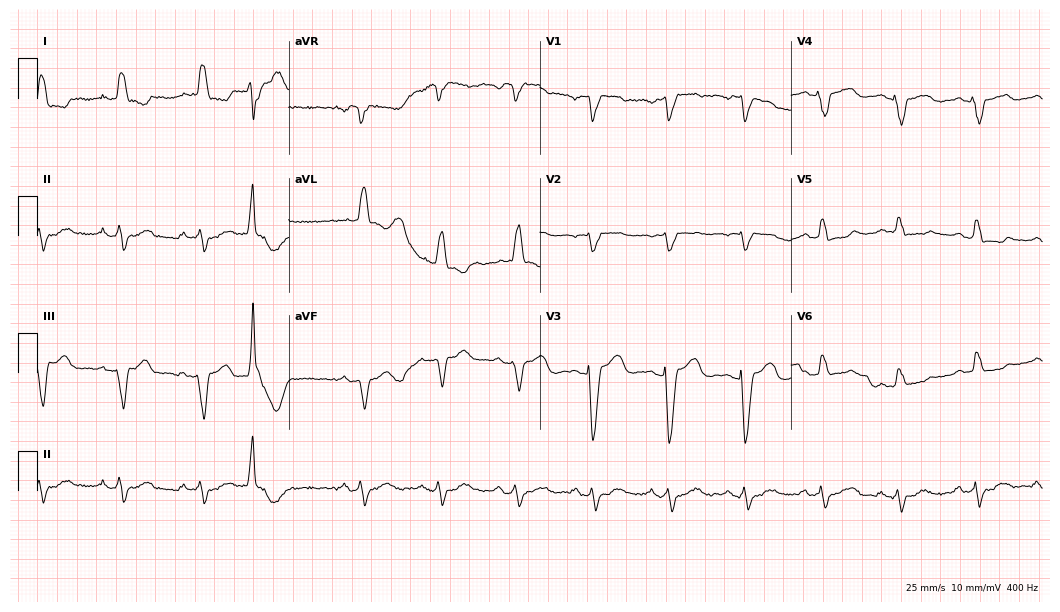
12-lead ECG from a 75-year-old female patient. Findings include left bundle branch block.